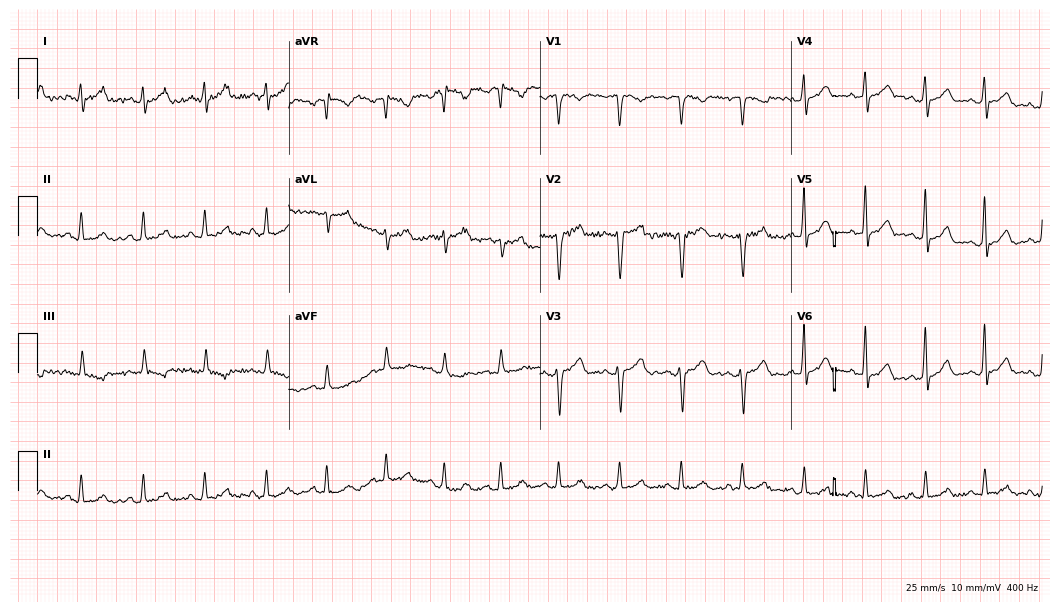
12-lead ECG from a female, 34 years old. Labelled as a normal ECG.